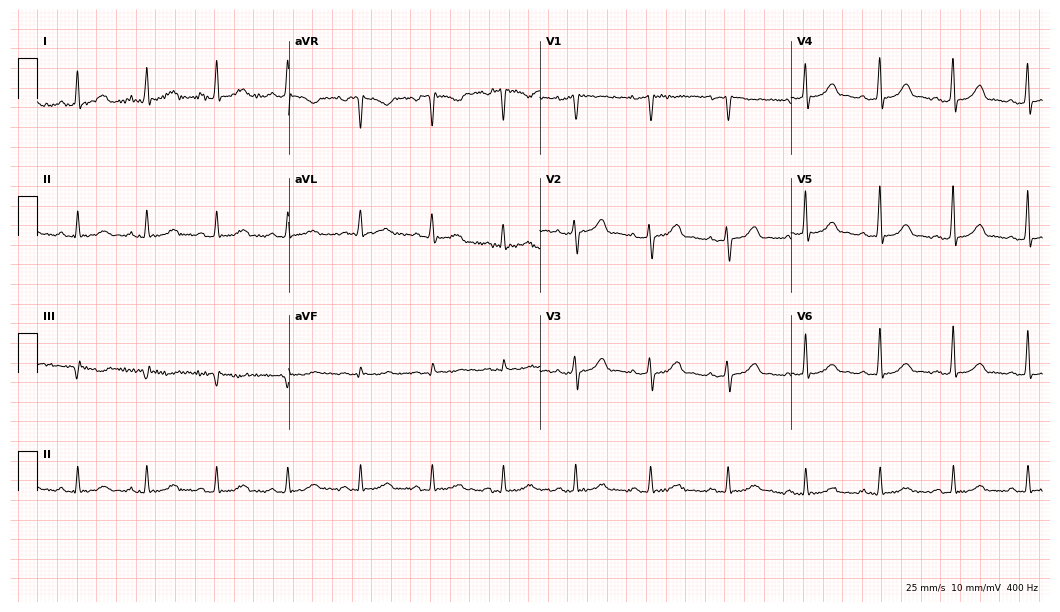
Standard 12-lead ECG recorded from a 51-year-old female (10.2-second recording at 400 Hz). Read as a normal ECG.